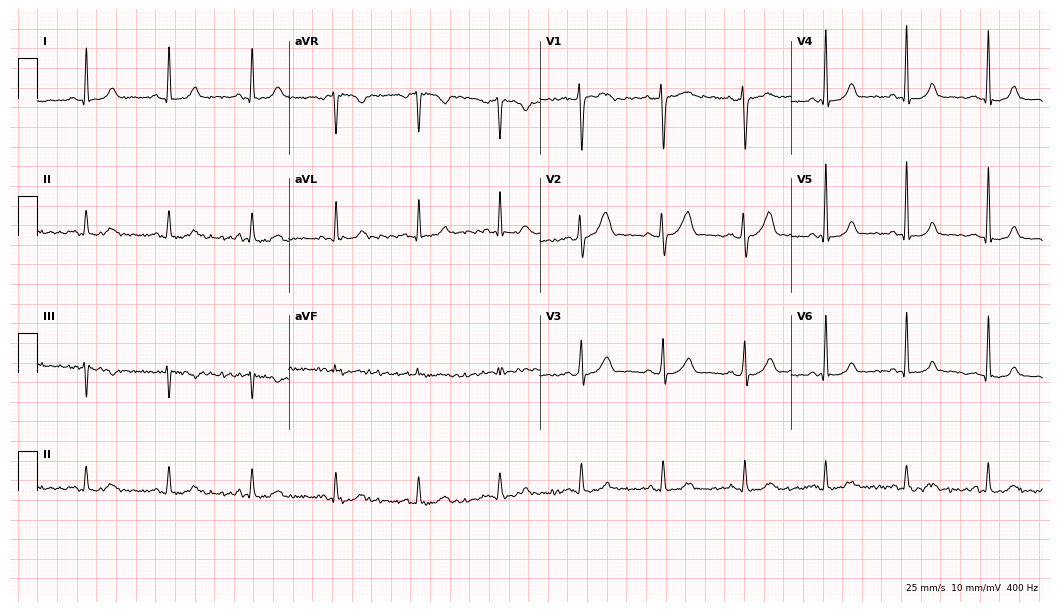
Standard 12-lead ECG recorded from a 44-year-old female. None of these six findings is recorded: first-degree AV block, right bundle branch block, left bundle branch block, sinus bradycardia, atrial fibrillation, sinus tachycardia. Other findings, if any, are not listed.